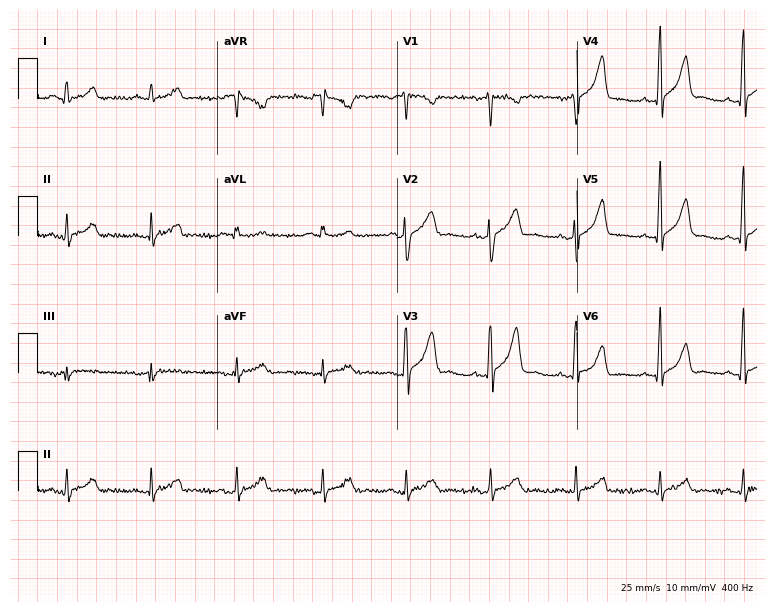
ECG (7.3-second recording at 400 Hz) — a man, 47 years old. Screened for six findings — first-degree AV block, right bundle branch block, left bundle branch block, sinus bradycardia, atrial fibrillation, sinus tachycardia — none is recorded.